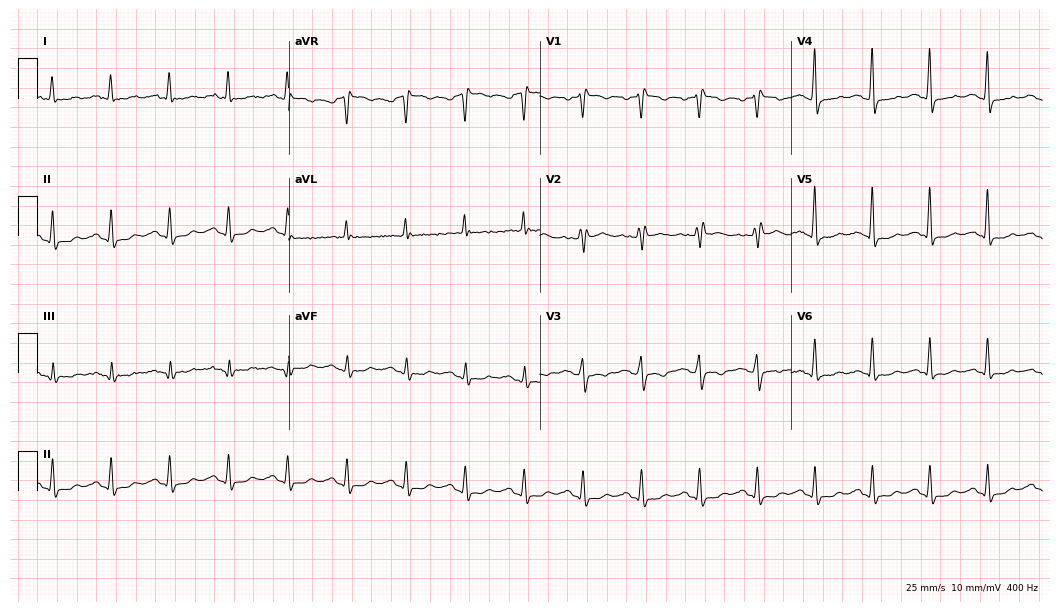
Electrocardiogram, a man, 39 years old. Interpretation includes sinus tachycardia (a sinus rate of 100 beats per minute or more).